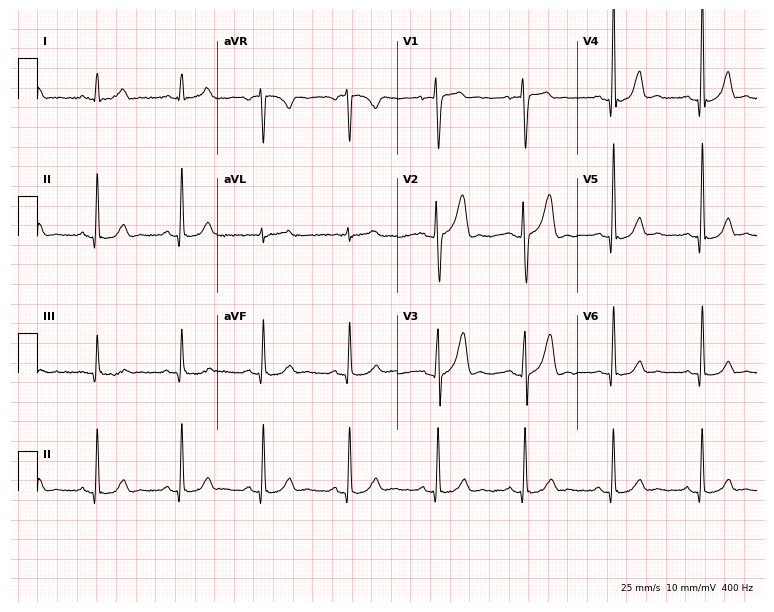
Standard 12-lead ECG recorded from a 35-year-old male patient (7.3-second recording at 400 Hz). Read as a normal ECG.